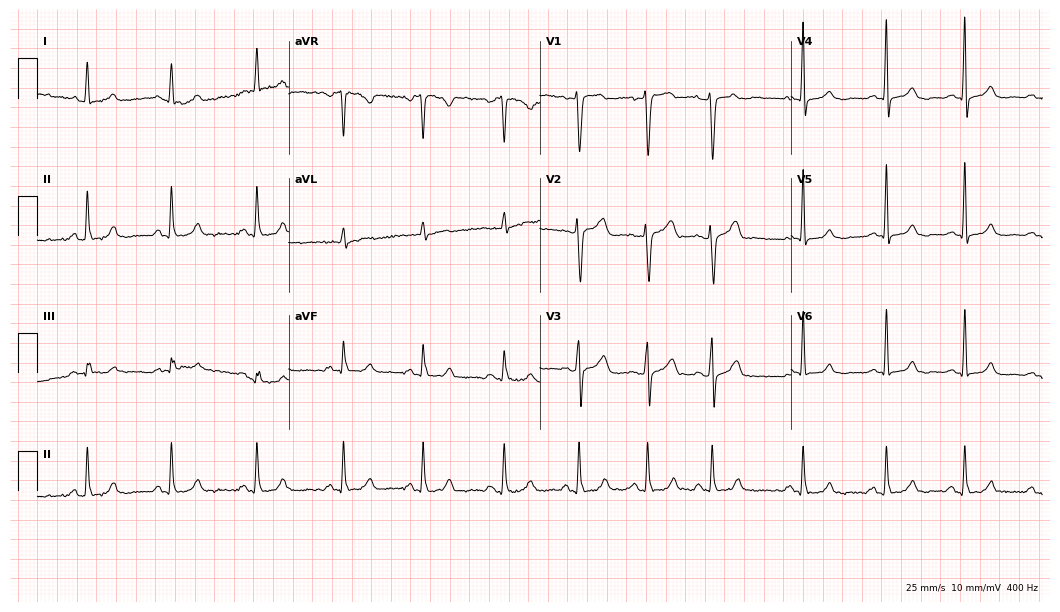
Standard 12-lead ECG recorded from a female, 38 years old (10.2-second recording at 400 Hz). Read as a normal ECG.